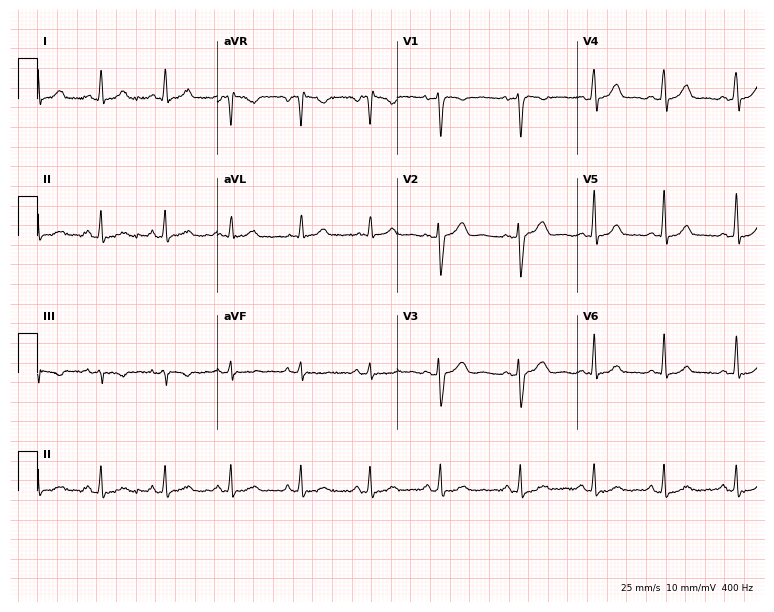
12-lead ECG (7.3-second recording at 400 Hz) from a 36-year-old female. Labelled as a normal ECG.